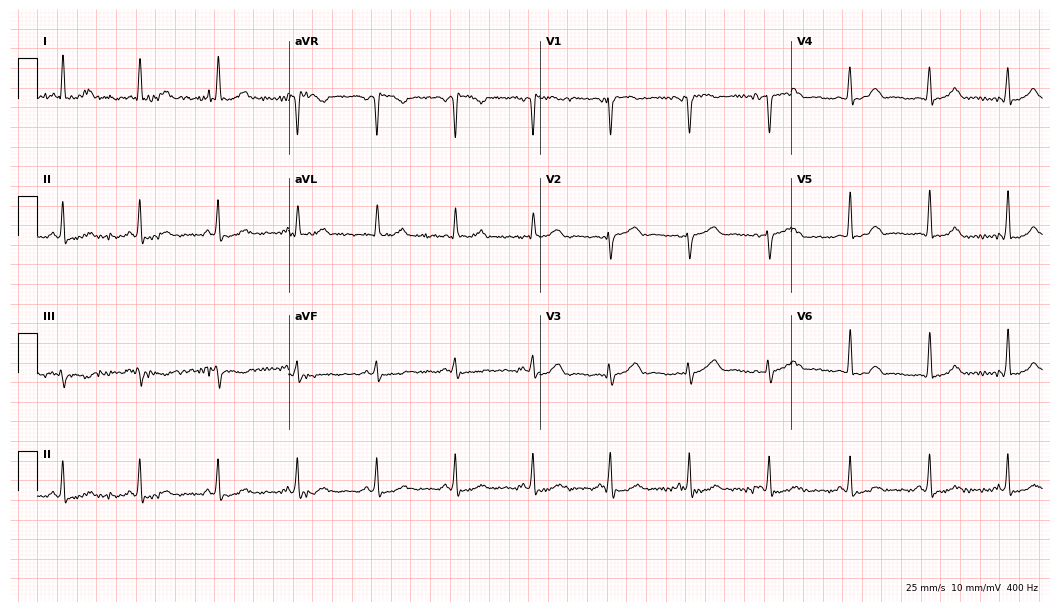
Electrocardiogram (10.2-second recording at 400 Hz), a 54-year-old woman. Of the six screened findings (first-degree AV block, right bundle branch block (RBBB), left bundle branch block (LBBB), sinus bradycardia, atrial fibrillation (AF), sinus tachycardia), none is recorded.